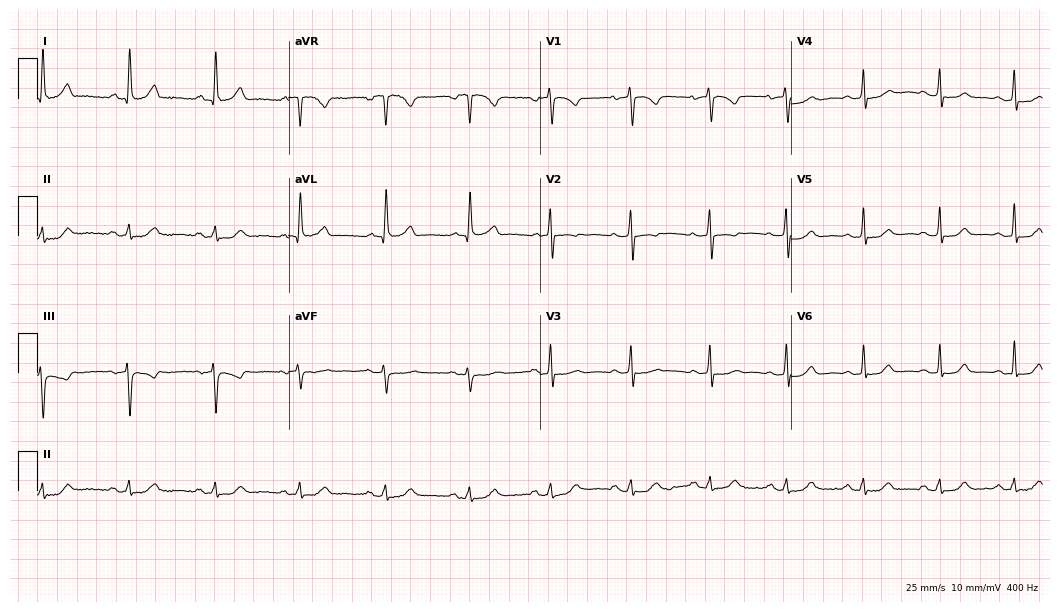
12-lead ECG from a female patient, 58 years old. Labelled as a normal ECG.